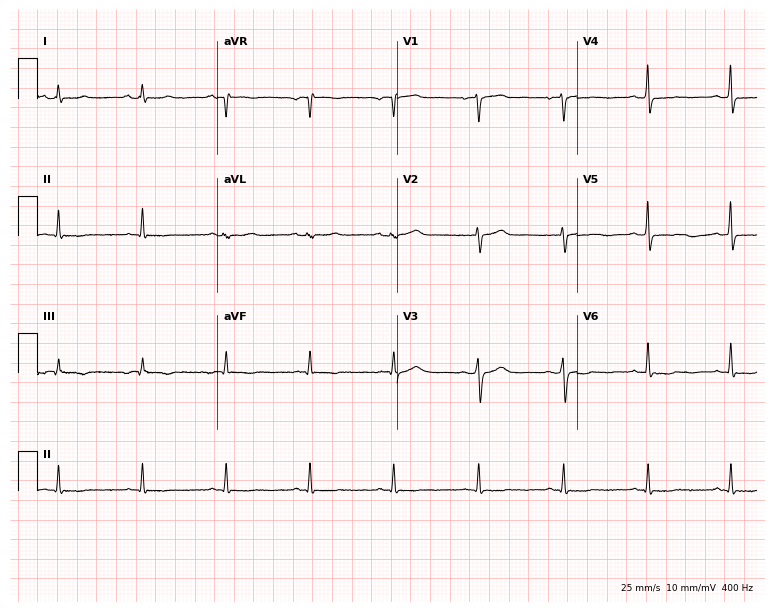
12-lead ECG from a male patient, 55 years old. Screened for six findings — first-degree AV block, right bundle branch block (RBBB), left bundle branch block (LBBB), sinus bradycardia, atrial fibrillation (AF), sinus tachycardia — none is recorded. Only these six findings were labelled.